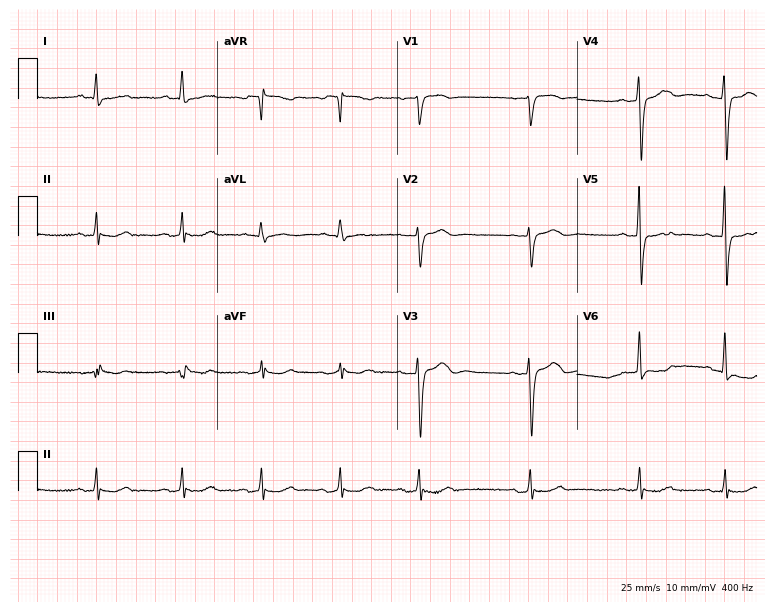
12-lead ECG from a 67-year-old woman. Screened for six findings — first-degree AV block, right bundle branch block, left bundle branch block, sinus bradycardia, atrial fibrillation, sinus tachycardia — none is recorded.